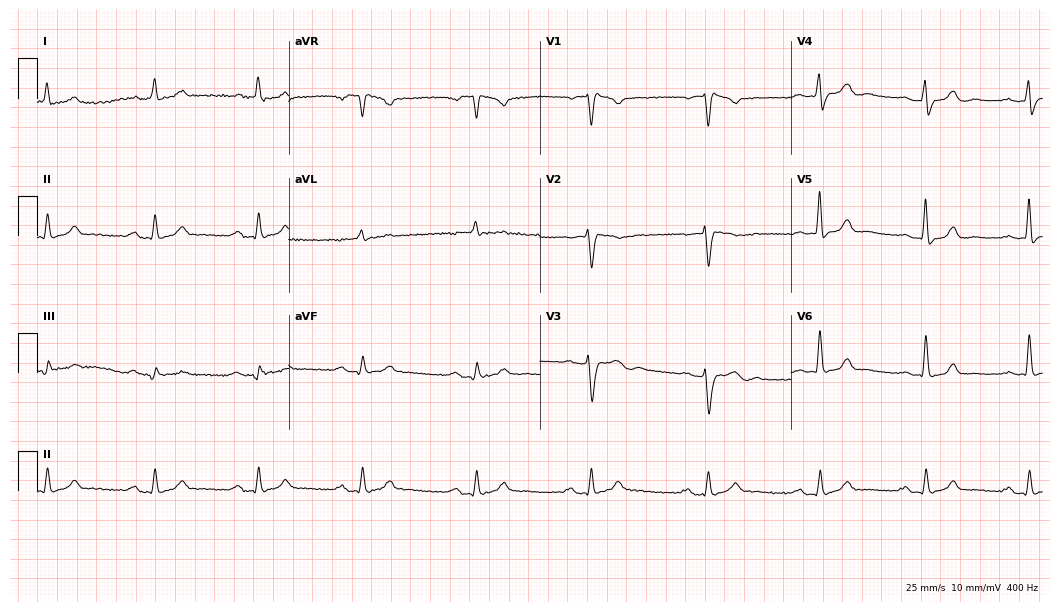
ECG — a 55-year-old man. Screened for six findings — first-degree AV block, right bundle branch block, left bundle branch block, sinus bradycardia, atrial fibrillation, sinus tachycardia — none is recorded.